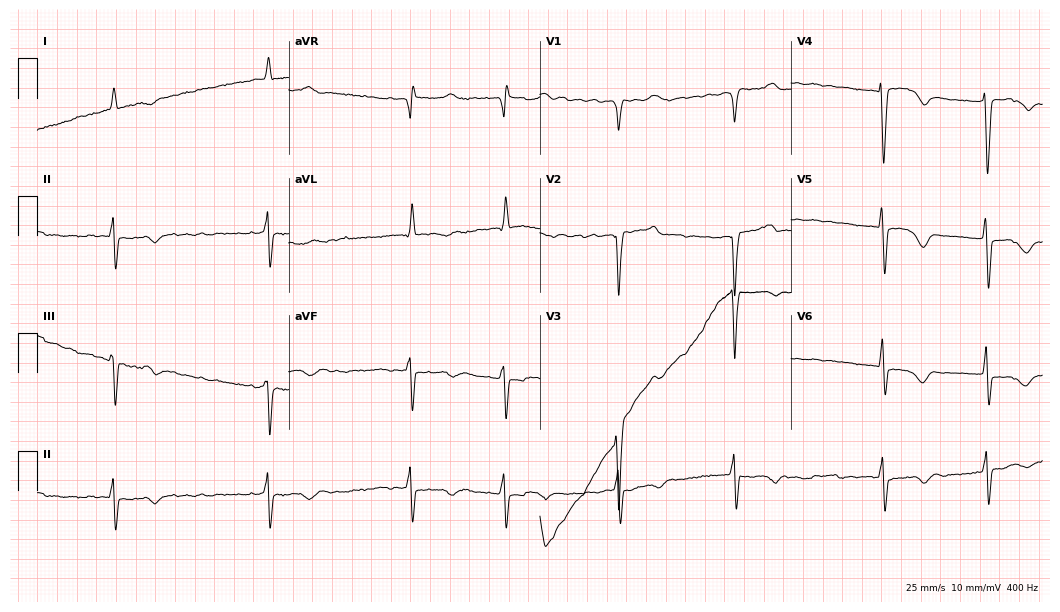
Resting 12-lead electrocardiogram (10.2-second recording at 400 Hz). Patient: an 81-year-old female. The tracing shows atrial fibrillation (AF).